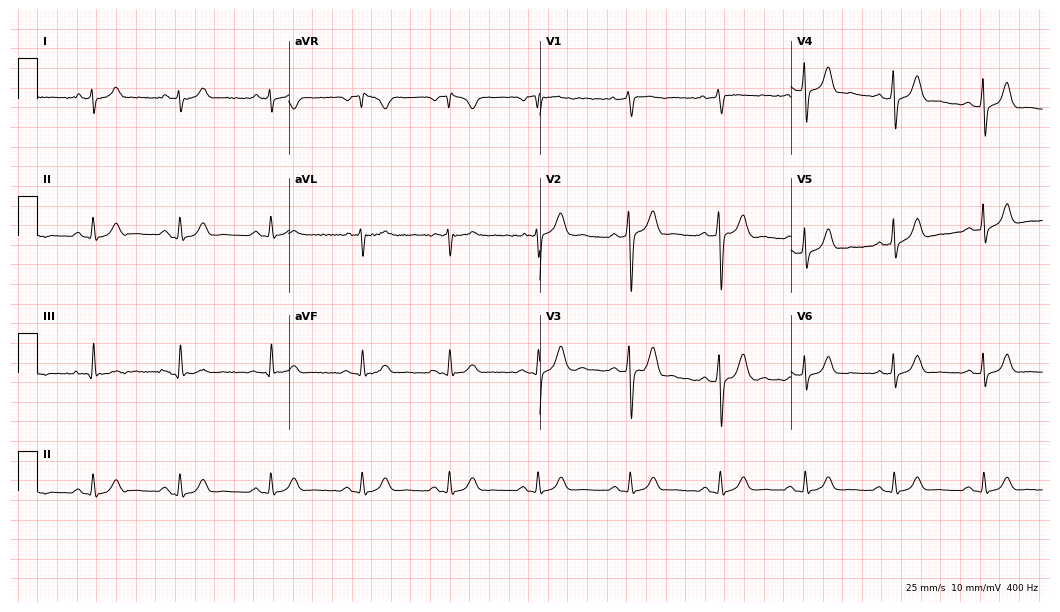
12-lead ECG (10.2-second recording at 400 Hz) from a man, 25 years old. Screened for six findings — first-degree AV block, right bundle branch block (RBBB), left bundle branch block (LBBB), sinus bradycardia, atrial fibrillation (AF), sinus tachycardia — none is recorded. Other findings, if any, are not listed.